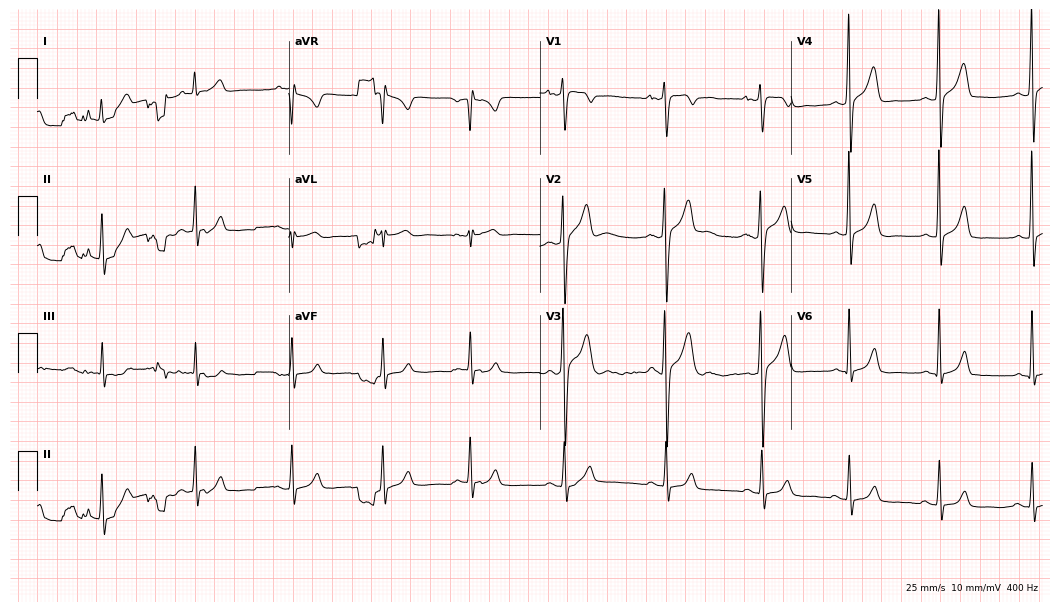
Resting 12-lead electrocardiogram. Patient: a man, 23 years old. None of these six findings is recorded: first-degree AV block, right bundle branch block, left bundle branch block, sinus bradycardia, atrial fibrillation, sinus tachycardia. Other findings, if any, are not listed.